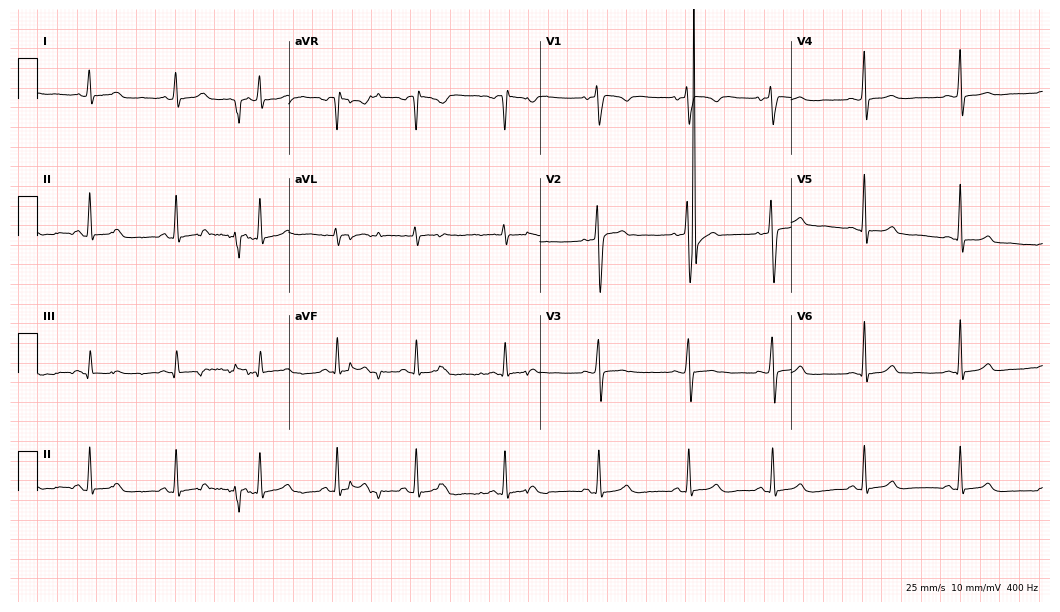
Electrocardiogram (10.2-second recording at 400 Hz), a female, 30 years old. Overall reading on record: normal ECG.